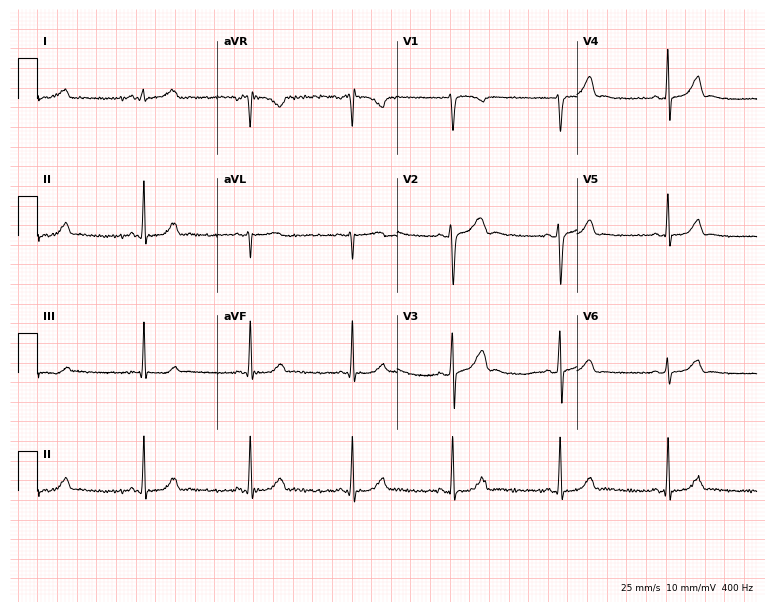
Resting 12-lead electrocardiogram. Patient: a female, 36 years old. Read as a normal ECG.